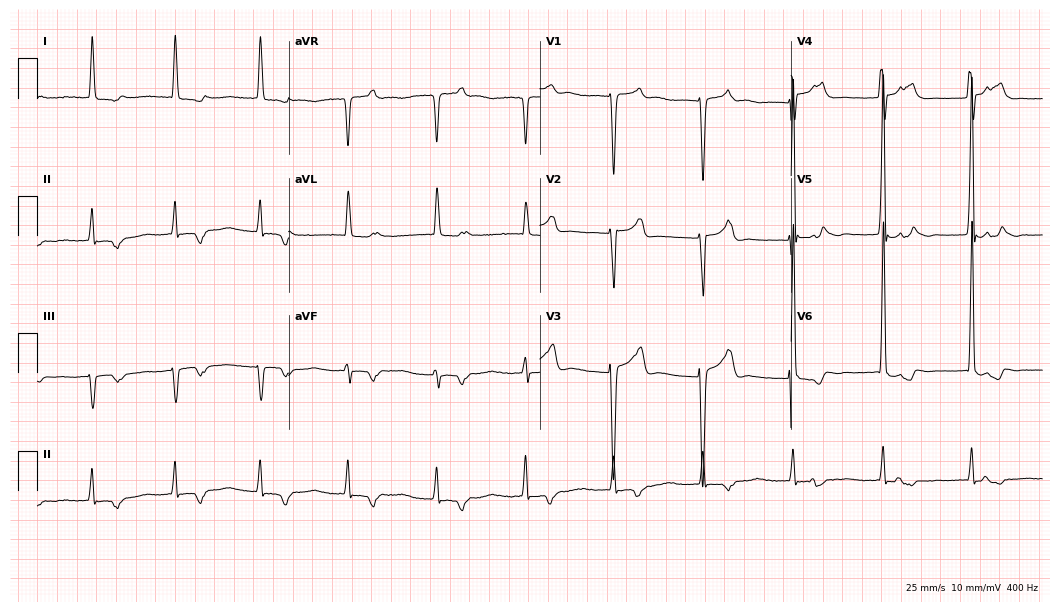
Electrocardiogram (10.2-second recording at 400 Hz), a 69-year-old male. Interpretation includes first-degree AV block.